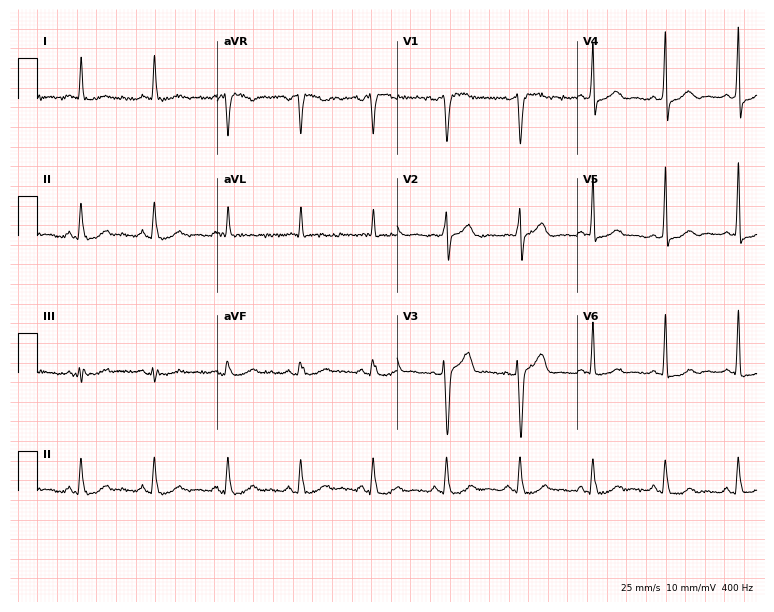
Standard 12-lead ECG recorded from a man, 59 years old. Read as a normal ECG.